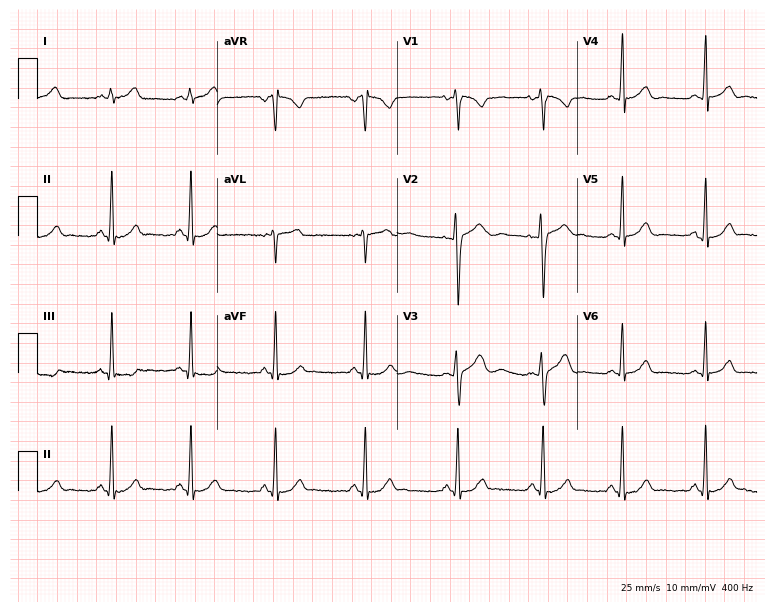
Standard 12-lead ECG recorded from a 19-year-old female (7.3-second recording at 400 Hz). Read as a normal ECG.